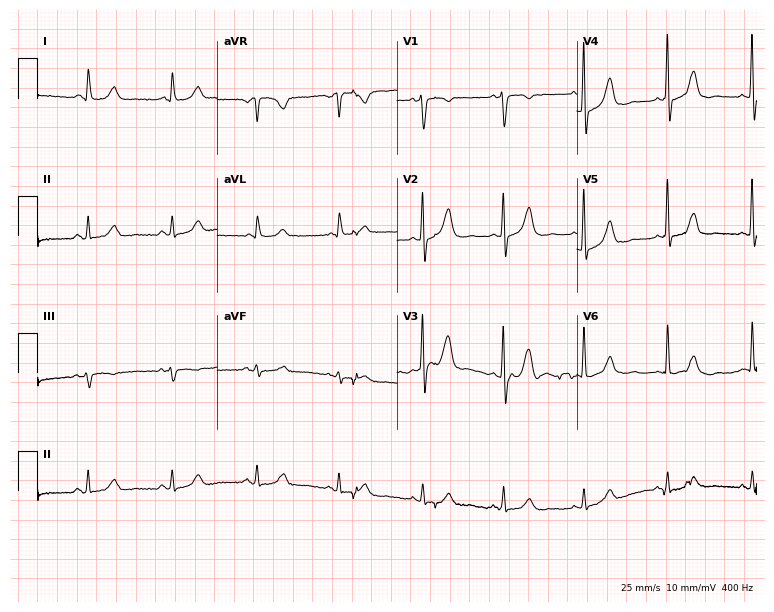
Standard 12-lead ECG recorded from a 59-year-old female. None of these six findings is recorded: first-degree AV block, right bundle branch block, left bundle branch block, sinus bradycardia, atrial fibrillation, sinus tachycardia.